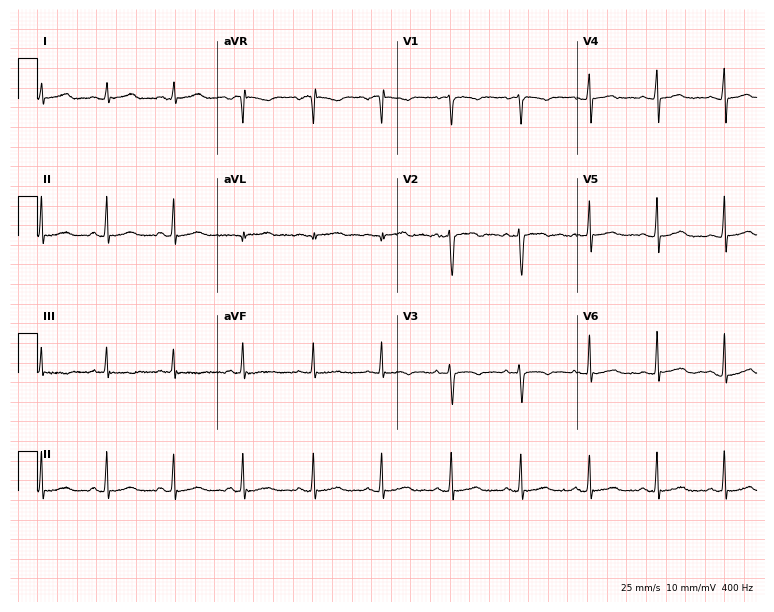
12-lead ECG (7.3-second recording at 400 Hz) from a 21-year-old female. Labelled as a normal ECG.